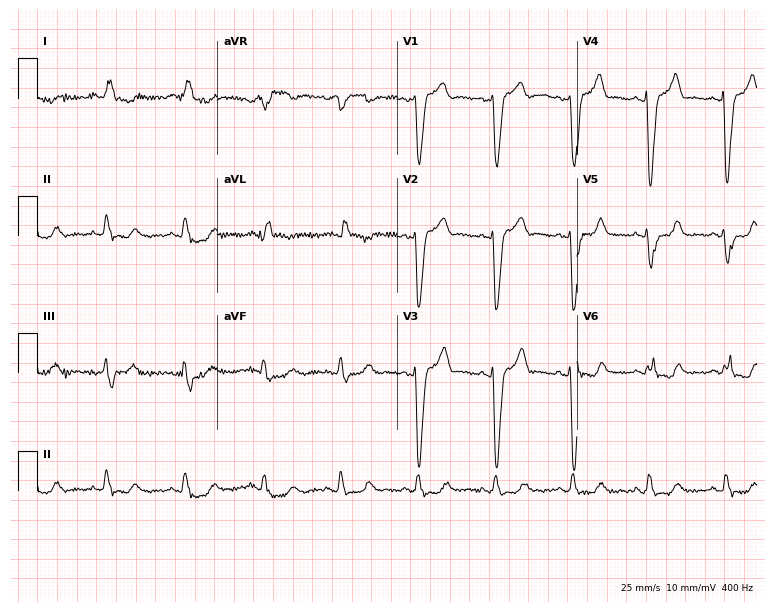
Resting 12-lead electrocardiogram (7.3-second recording at 400 Hz). Patient: a 55-year-old woman. The tracing shows left bundle branch block.